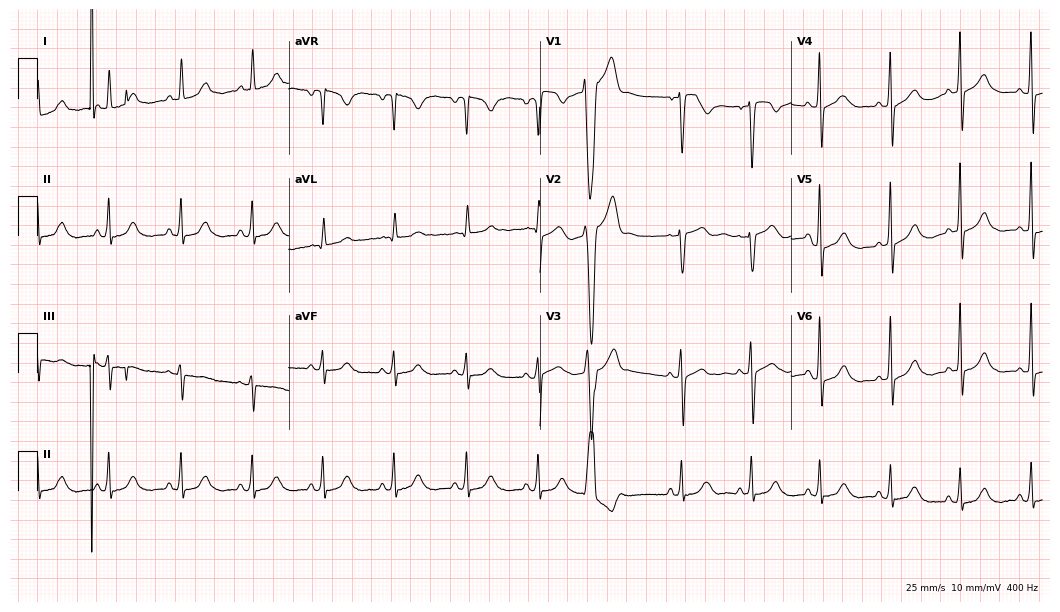
12-lead ECG from a female patient, 66 years old. No first-degree AV block, right bundle branch block, left bundle branch block, sinus bradycardia, atrial fibrillation or sinus tachycardia recorded for this tracing. Only these six findings were labelled.